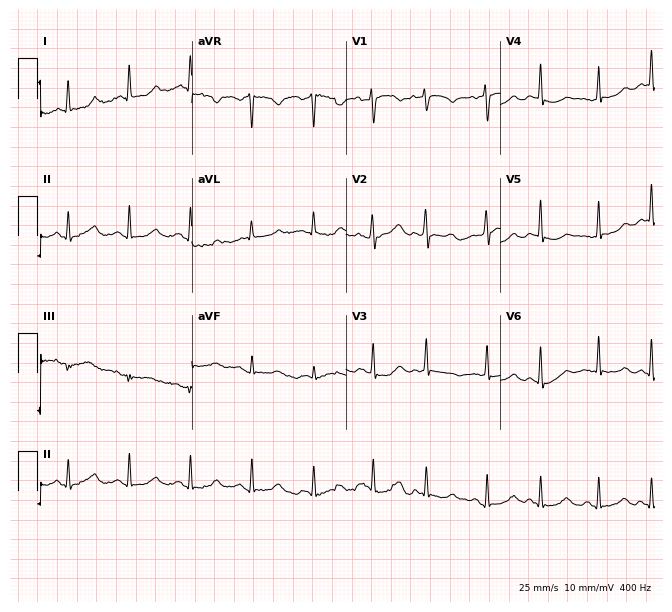
Electrocardiogram (6.3-second recording at 400 Hz), a female patient, 32 years old. Of the six screened findings (first-degree AV block, right bundle branch block, left bundle branch block, sinus bradycardia, atrial fibrillation, sinus tachycardia), none is recorded. Findings outside these six are not listed.